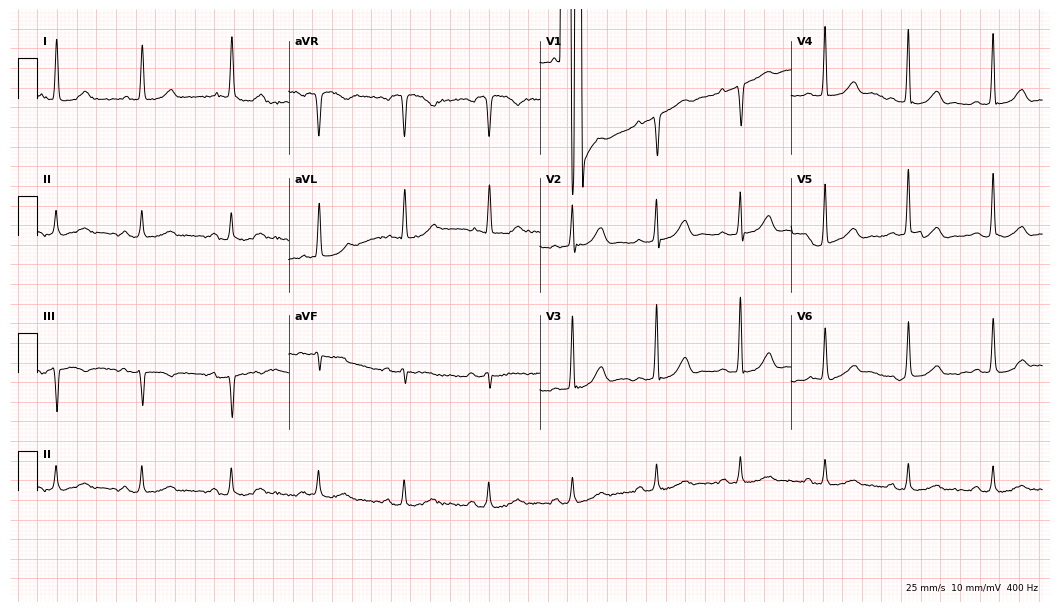
12-lead ECG (10.2-second recording at 400 Hz) from a 71-year-old male. Screened for six findings — first-degree AV block, right bundle branch block, left bundle branch block, sinus bradycardia, atrial fibrillation, sinus tachycardia — none is recorded.